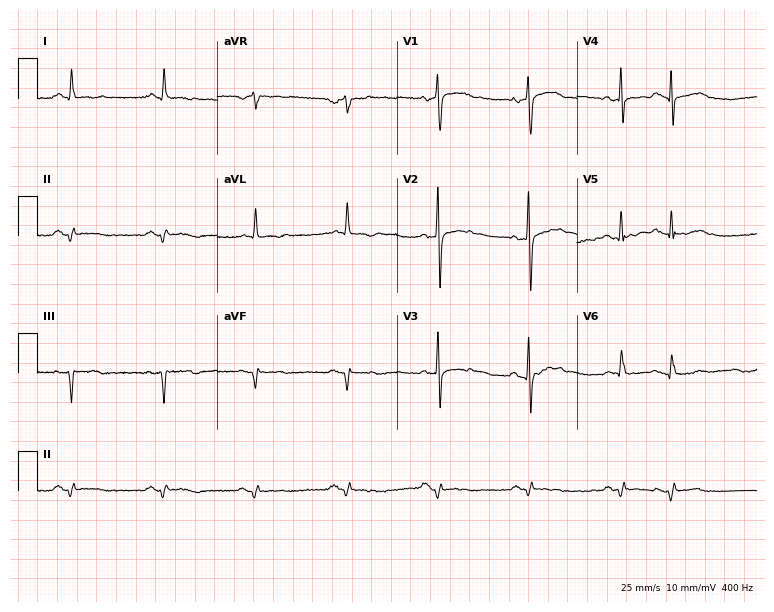
12-lead ECG from a 62-year-old male patient. Screened for six findings — first-degree AV block, right bundle branch block, left bundle branch block, sinus bradycardia, atrial fibrillation, sinus tachycardia — none is recorded.